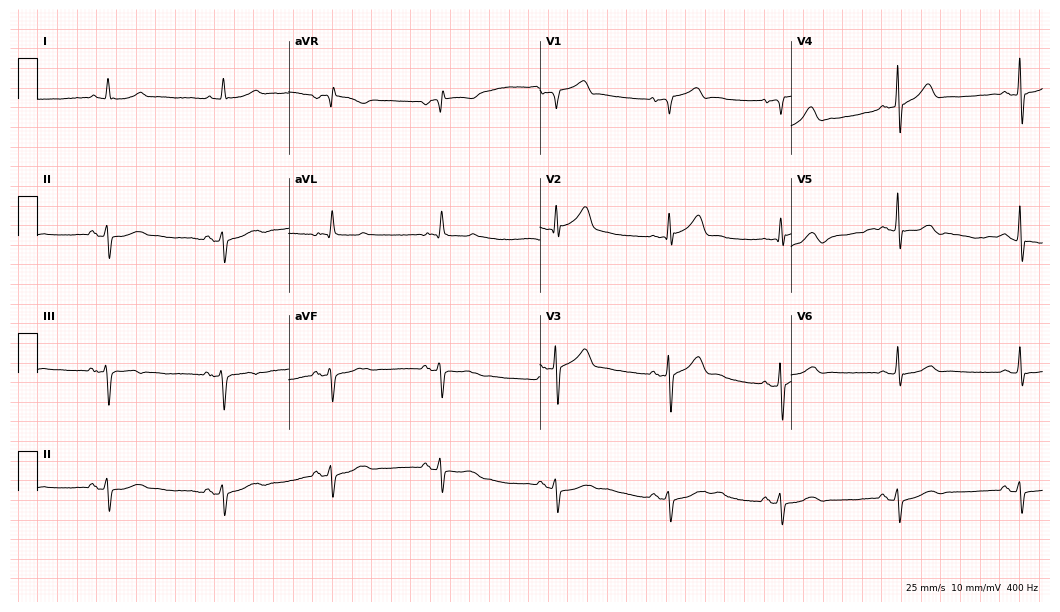
12-lead ECG from a male patient, 78 years old (10.2-second recording at 400 Hz). No first-degree AV block, right bundle branch block (RBBB), left bundle branch block (LBBB), sinus bradycardia, atrial fibrillation (AF) or sinus tachycardia recorded for this tracing. Other findings, if any, are not listed.